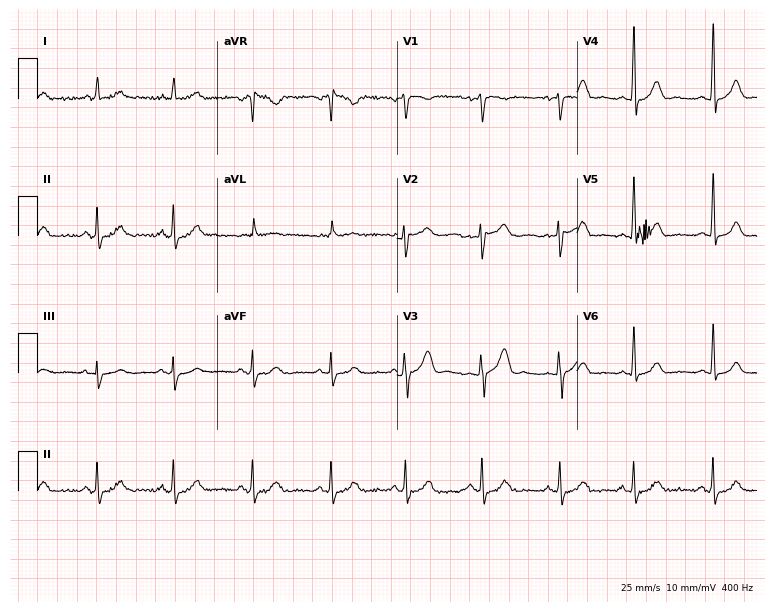
ECG (7.3-second recording at 400 Hz) — a 41-year-old woman. Labelled as a normal ECG.